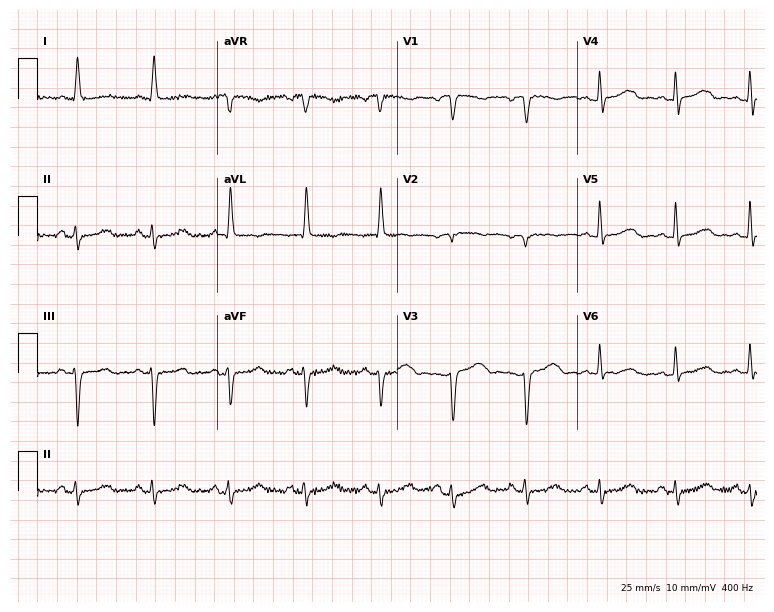
12-lead ECG from a female patient, 75 years old. Screened for six findings — first-degree AV block, right bundle branch block, left bundle branch block, sinus bradycardia, atrial fibrillation, sinus tachycardia — none is recorded.